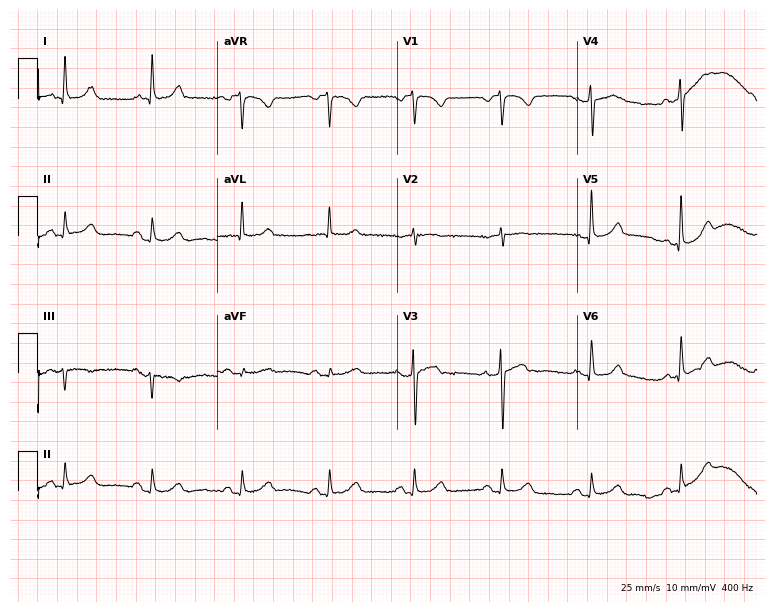
12-lead ECG (7.3-second recording at 400 Hz) from a 72-year-old female patient. Screened for six findings — first-degree AV block, right bundle branch block, left bundle branch block, sinus bradycardia, atrial fibrillation, sinus tachycardia — none is recorded. Only these six findings were labelled.